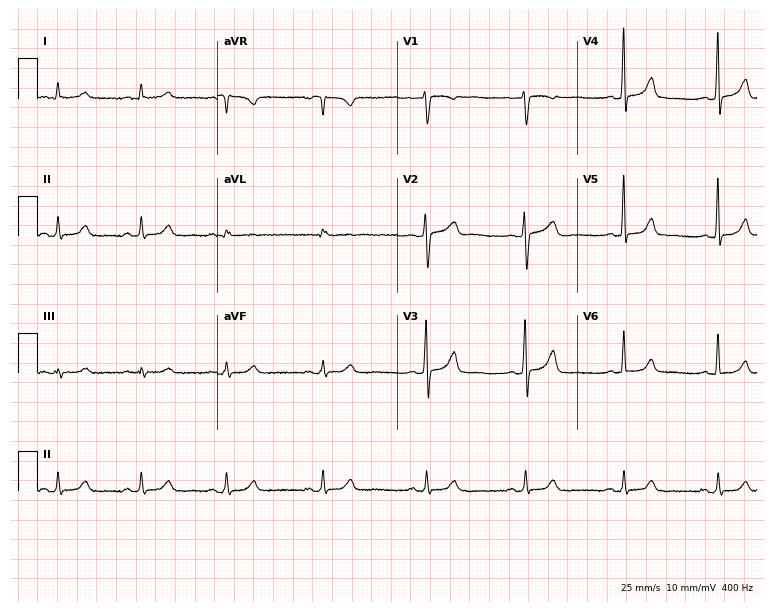
Resting 12-lead electrocardiogram. Patient: a female, 40 years old. Read as a normal ECG.